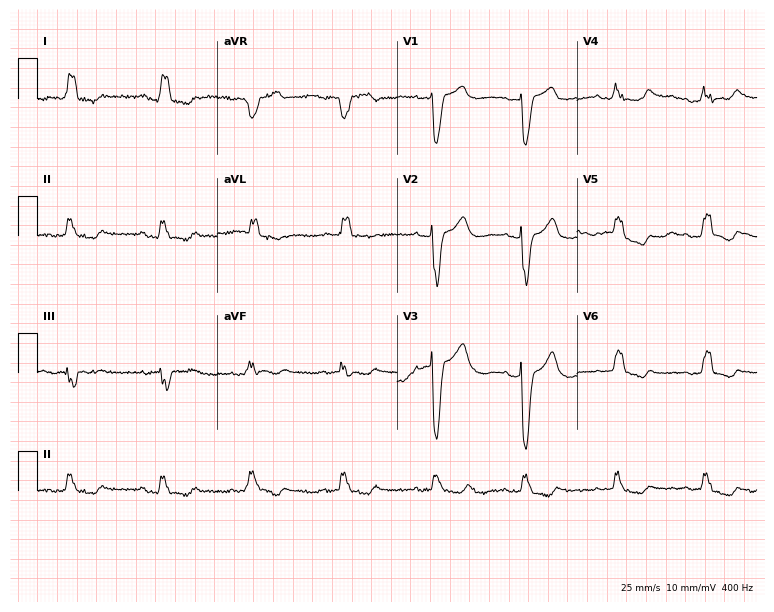
Resting 12-lead electrocardiogram (7.3-second recording at 400 Hz). Patient: an 80-year-old female. None of these six findings is recorded: first-degree AV block, right bundle branch block, left bundle branch block, sinus bradycardia, atrial fibrillation, sinus tachycardia.